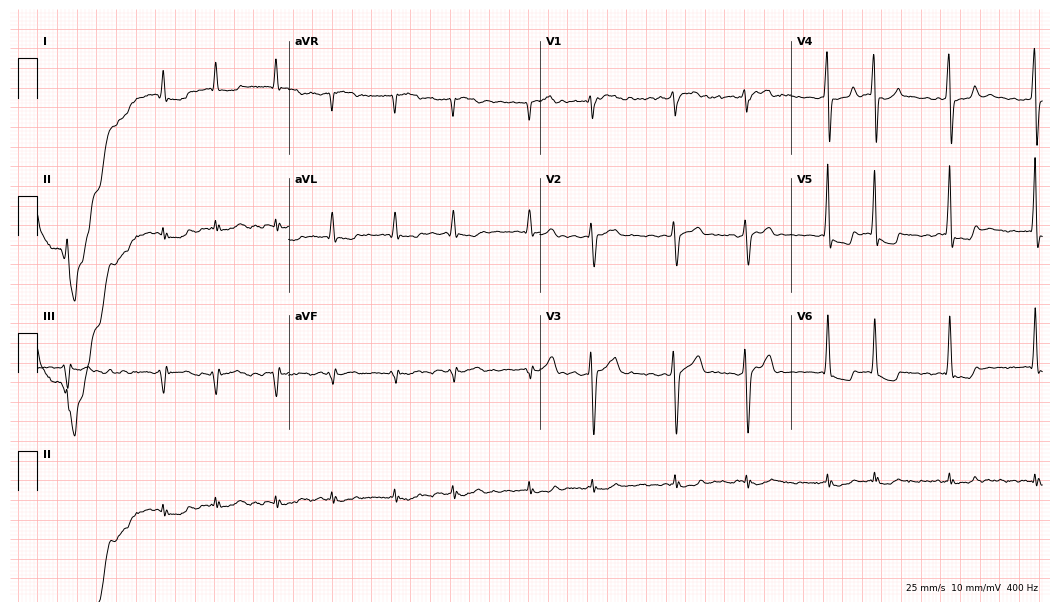
ECG (10.2-second recording at 400 Hz) — a 76-year-old man. Findings include atrial fibrillation.